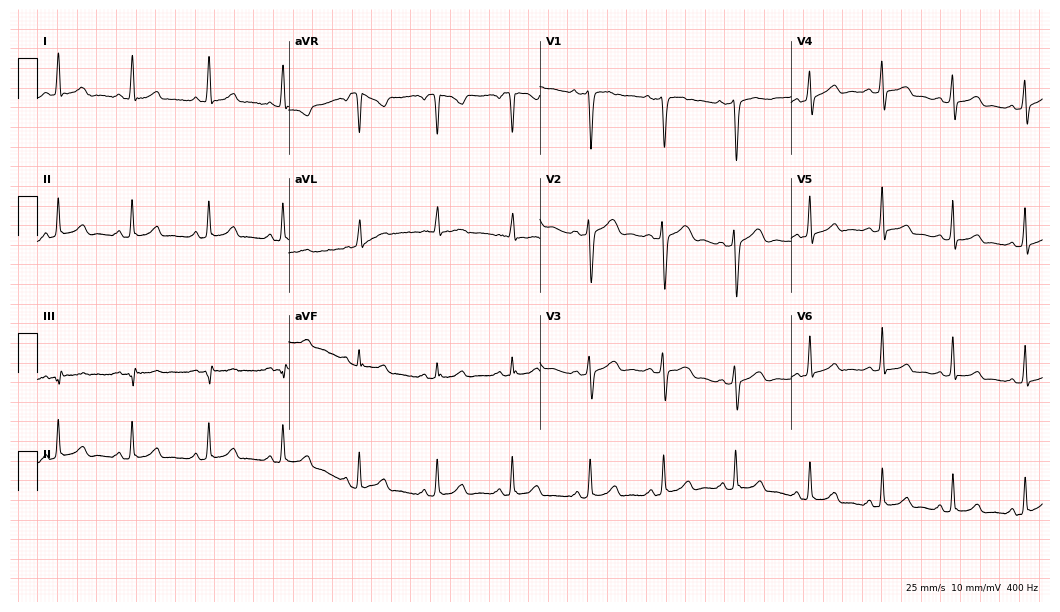
Standard 12-lead ECG recorded from a female patient, 25 years old (10.2-second recording at 400 Hz). Read as a normal ECG.